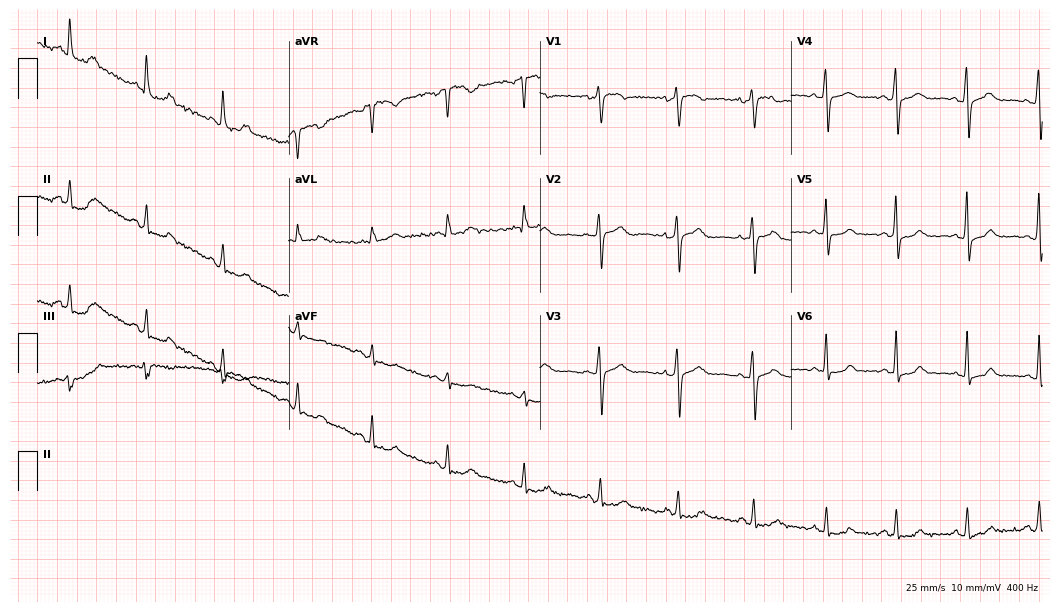
12-lead ECG (10.2-second recording at 400 Hz) from a female, 51 years old. Screened for six findings — first-degree AV block, right bundle branch block, left bundle branch block, sinus bradycardia, atrial fibrillation, sinus tachycardia — none is recorded. Other findings, if any, are not listed.